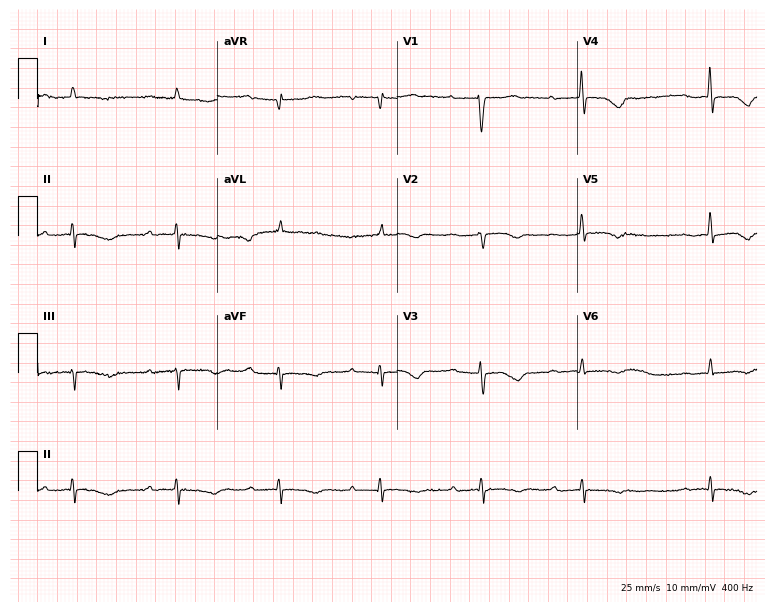
Standard 12-lead ECG recorded from a woman, 78 years old (7.3-second recording at 400 Hz). The tracing shows first-degree AV block.